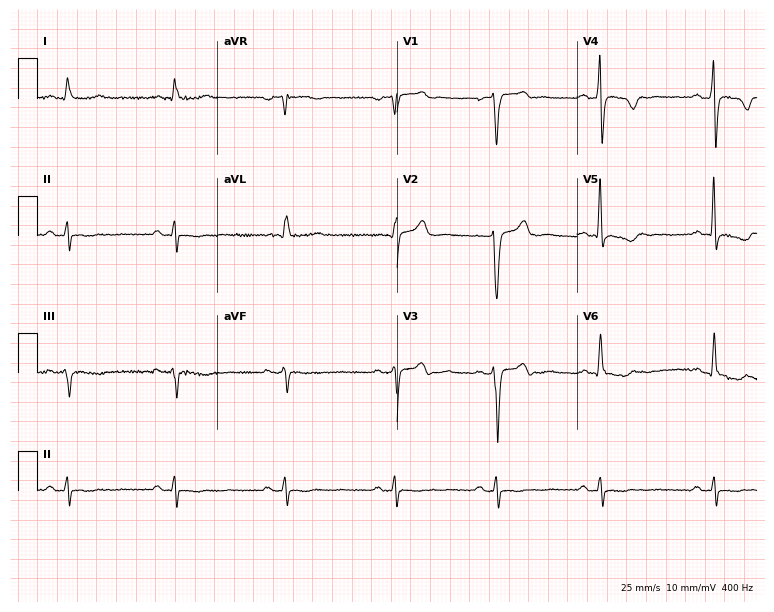
Electrocardiogram (7.3-second recording at 400 Hz), a male, 58 years old. Of the six screened findings (first-degree AV block, right bundle branch block, left bundle branch block, sinus bradycardia, atrial fibrillation, sinus tachycardia), none is recorded.